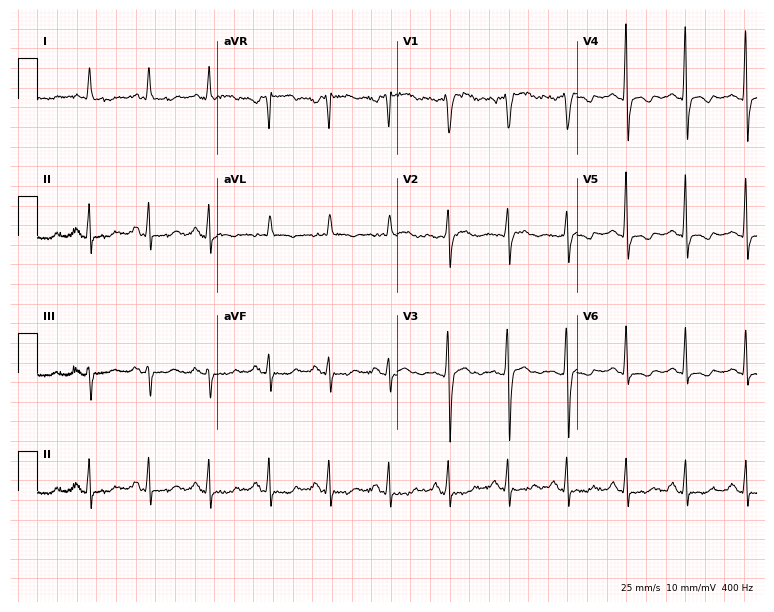
Resting 12-lead electrocardiogram. Patient: a 51-year-old woman. None of these six findings is recorded: first-degree AV block, right bundle branch block, left bundle branch block, sinus bradycardia, atrial fibrillation, sinus tachycardia.